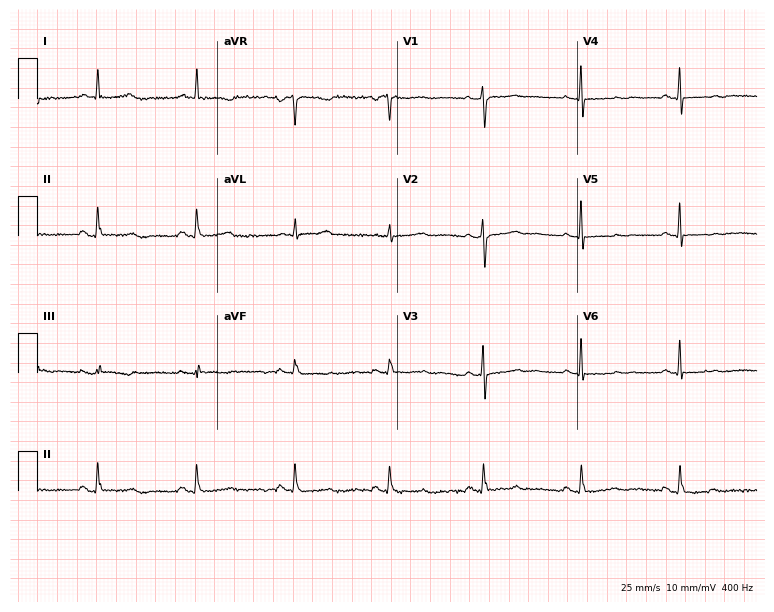
Resting 12-lead electrocardiogram (7.3-second recording at 400 Hz). Patient: a 61-year-old female. None of these six findings is recorded: first-degree AV block, right bundle branch block (RBBB), left bundle branch block (LBBB), sinus bradycardia, atrial fibrillation (AF), sinus tachycardia.